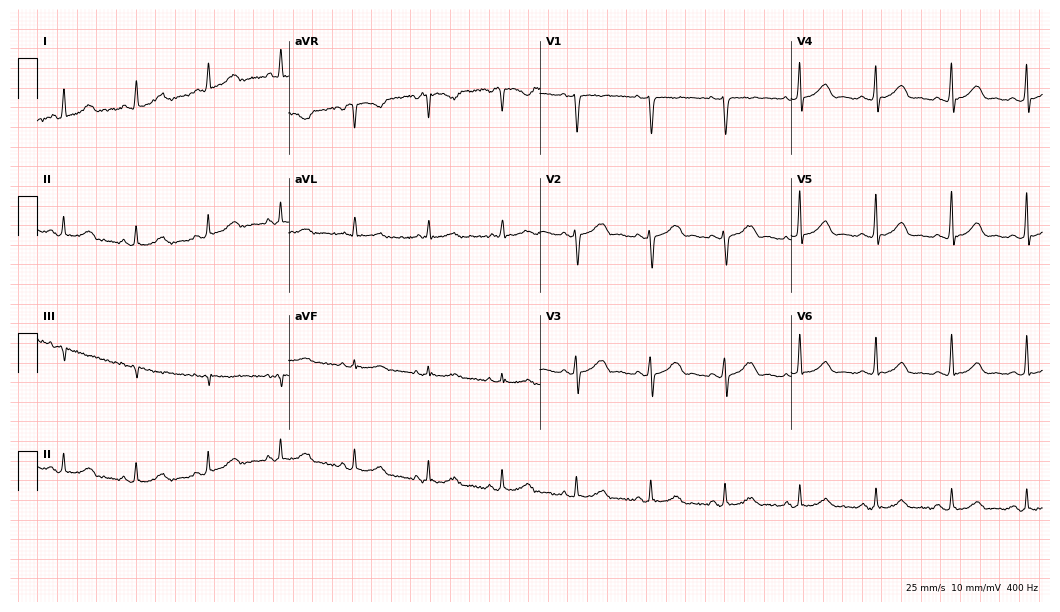
ECG (10.2-second recording at 400 Hz) — a female, 45 years old. Labelled as a normal ECG.